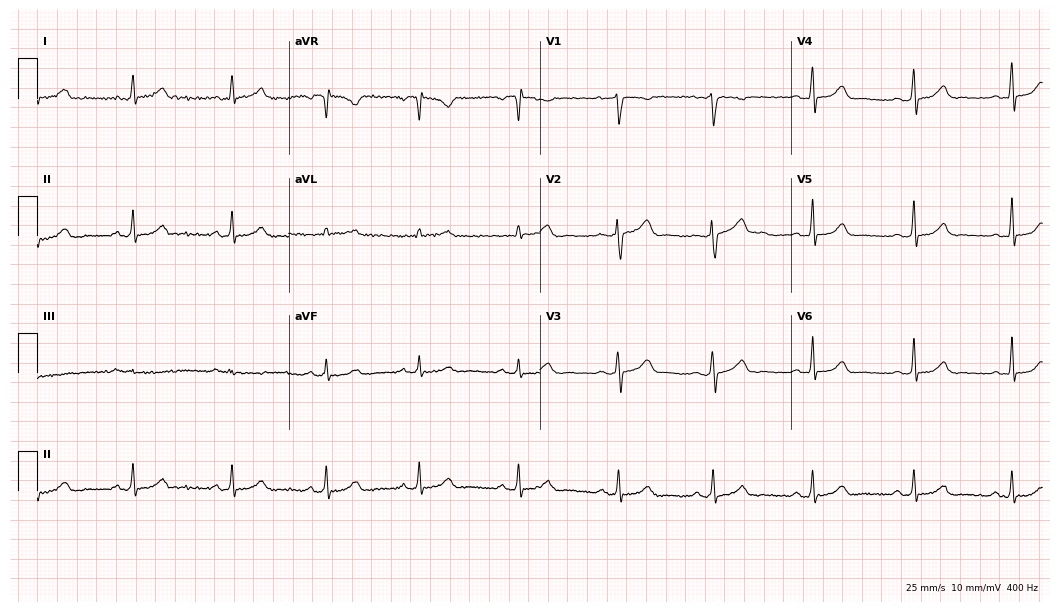
12-lead ECG from a female patient, 21 years old. Labelled as a normal ECG.